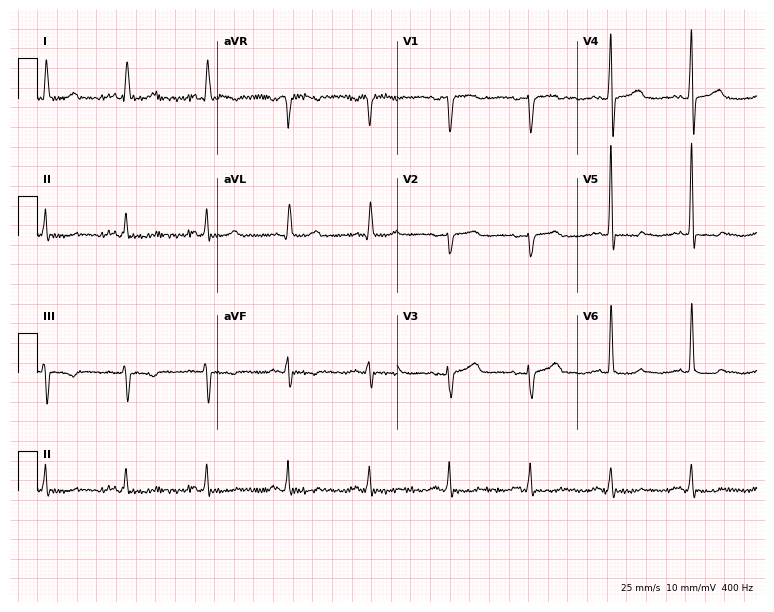
Standard 12-lead ECG recorded from a 61-year-old female (7.3-second recording at 400 Hz). None of these six findings is recorded: first-degree AV block, right bundle branch block, left bundle branch block, sinus bradycardia, atrial fibrillation, sinus tachycardia.